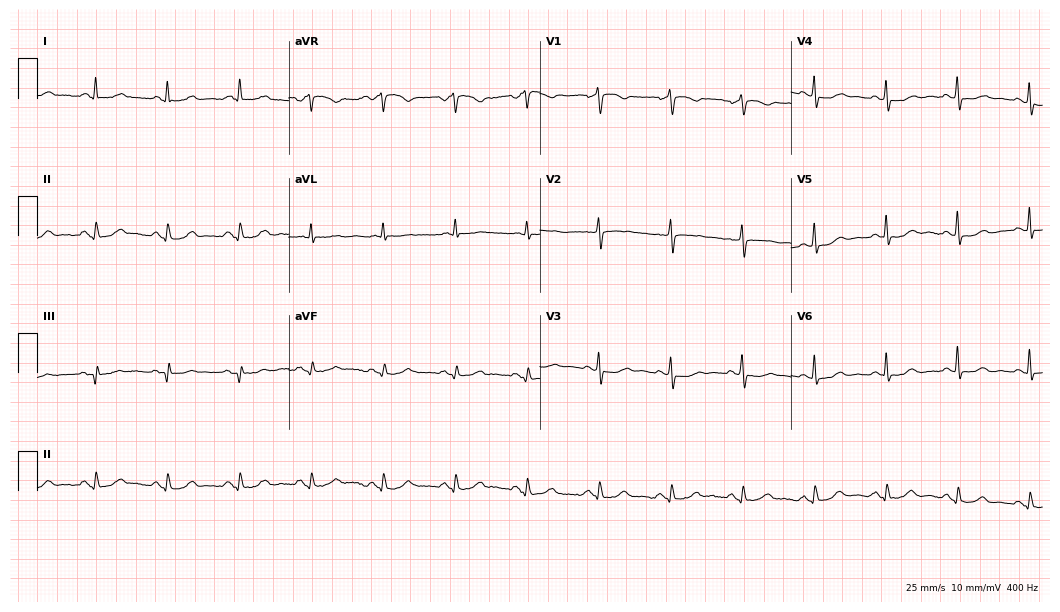
12-lead ECG from a 69-year-old female patient. Labelled as a normal ECG.